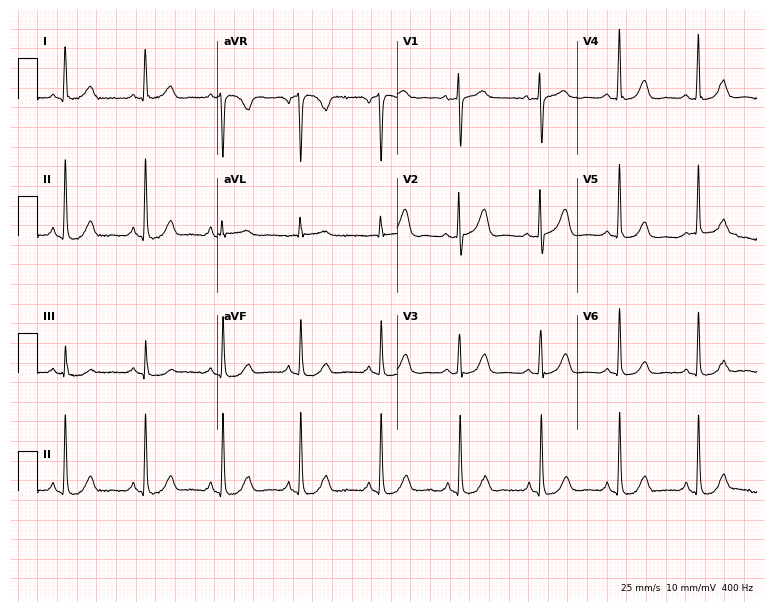
Electrocardiogram, a 75-year-old female. Of the six screened findings (first-degree AV block, right bundle branch block (RBBB), left bundle branch block (LBBB), sinus bradycardia, atrial fibrillation (AF), sinus tachycardia), none is recorded.